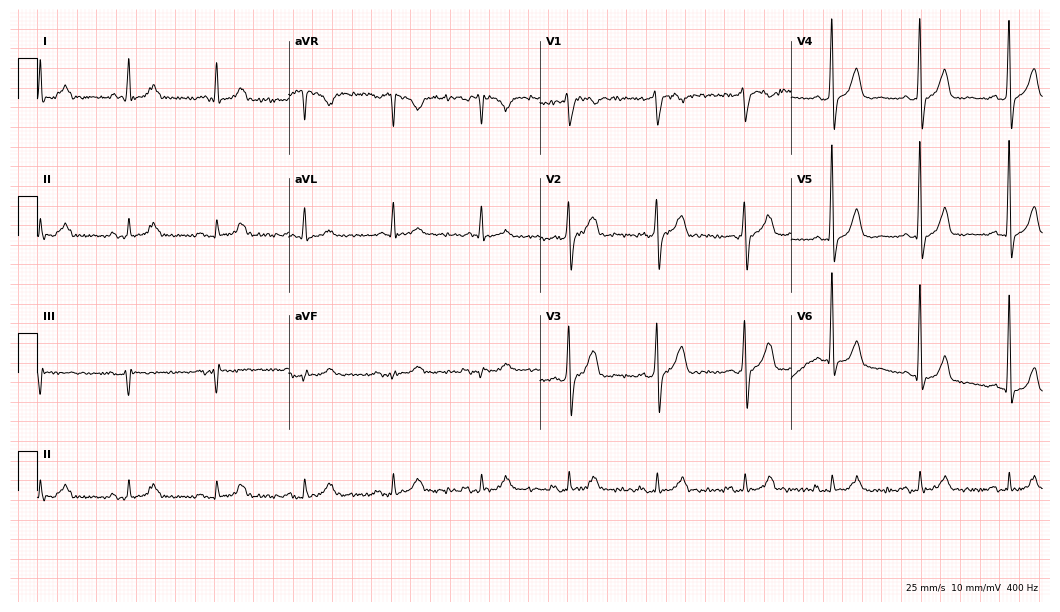
ECG — a man, 66 years old. Screened for six findings — first-degree AV block, right bundle branch block (RBBB), left bundle branch block (LBBB), sinus bradycardia, atrial fibrillation (AF), sinus tachycardia — none is recorded. Other findings, if any, are not listed.